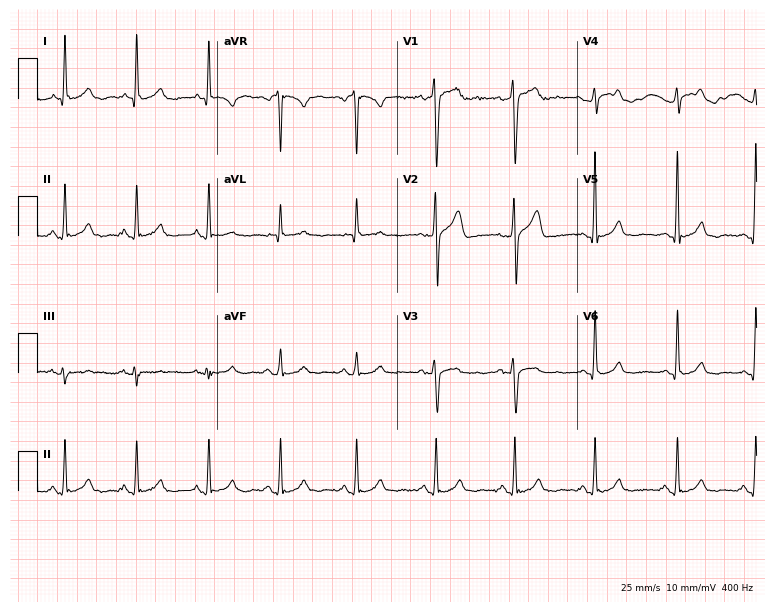
12-lead ECG from a 53-year-old male. Labelled as a normal ECG.